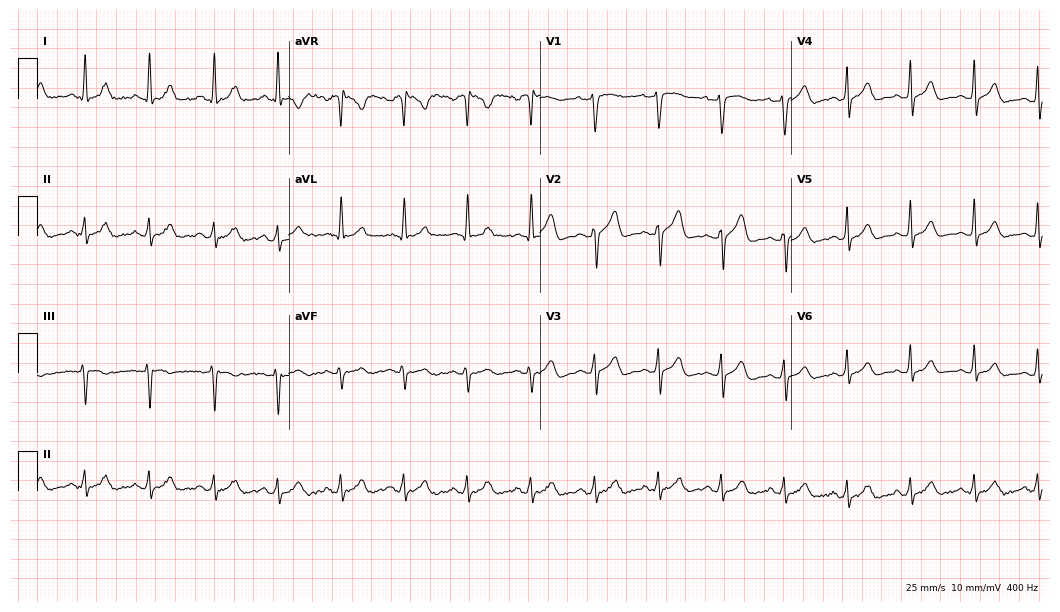
ECG — a 53-year-old male patient. Labelled as a normal ECG.